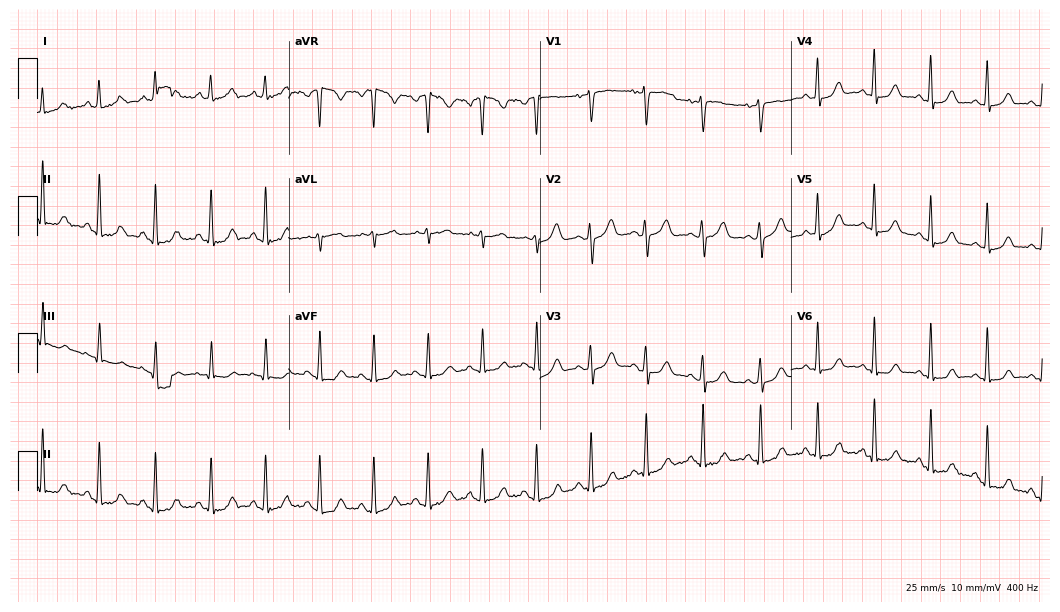
ECG (10.2-second recording at 400 Hz) — a female, 42 years old. Findings include sinus tachycardia (a sinus rate of 100 beats per minute or more).